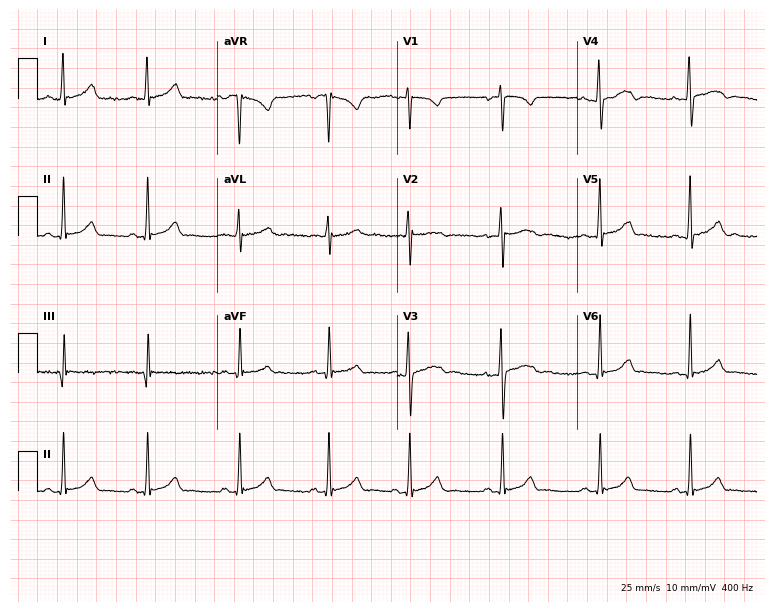
Resting 12-lead electrocardiogram. Patient: a 22-year-old female. Read as a normal ECG.